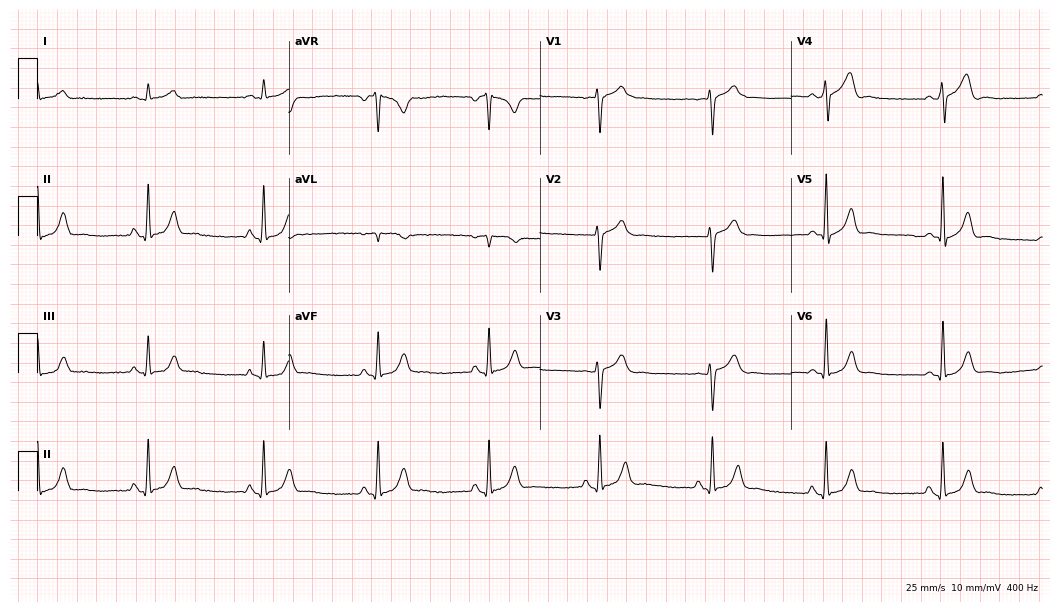
ECG (10.2-second recording at 400 Hz) — a man, 50 years old. Labelled as a normal ECG.